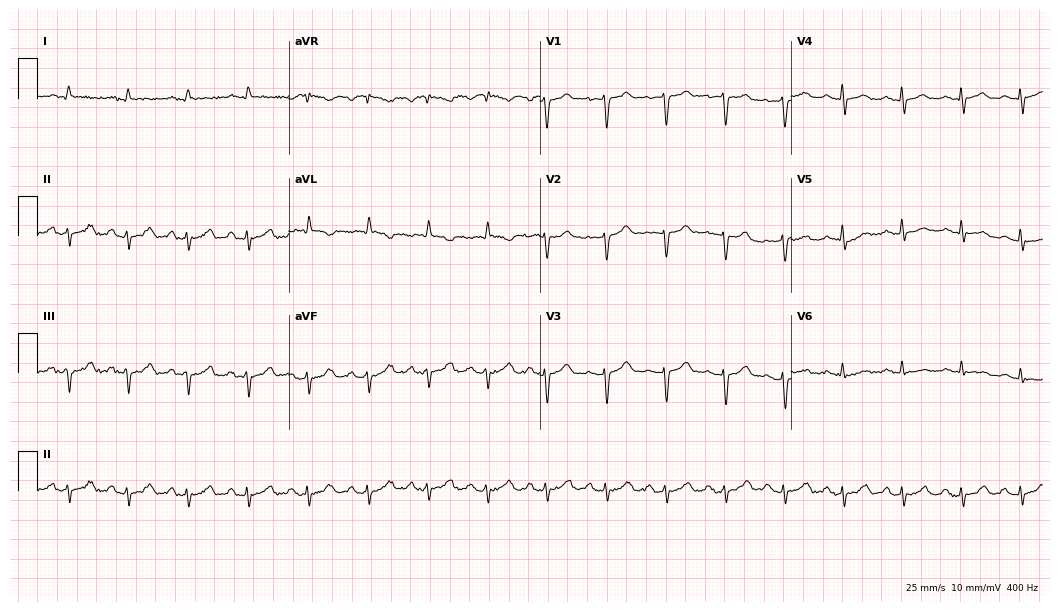
Resting 12-lead electrocardiogram (10.2-second recording at 400 Hz). Patient: a man, 85 years old. None of these six findings is recorded: first-degree AV block, right bundle branch block (RBBB), left bundle branch block (LBBB), sinus bradycardia, atrial fibrillation (AF), sinus tachycardia. Other findings, if any, are not listed.